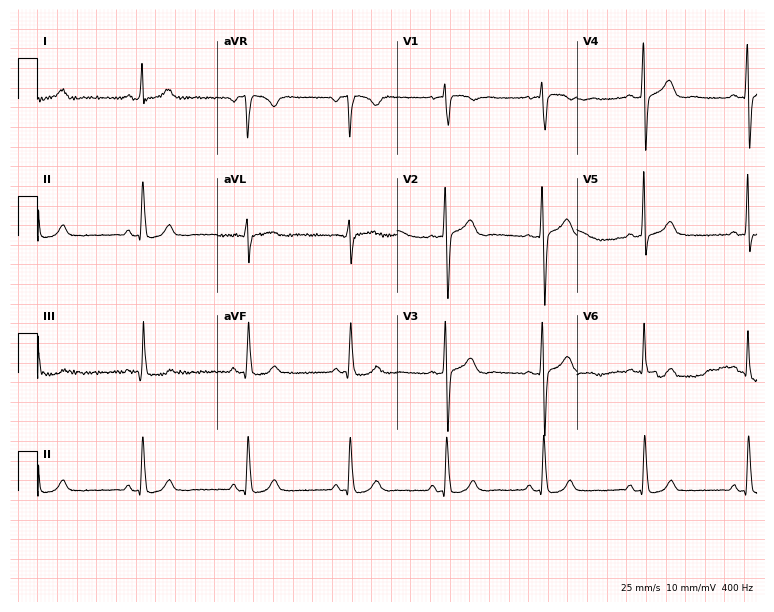
Resting 12-lead electrocardiogram. Patient: a 54-year-old woman. None of these six findings is recorded: first-degree AV block, right bundle branch block, left bundle branch block, sinus bradycardia, atrial fibrillation, sinus tachycardia.